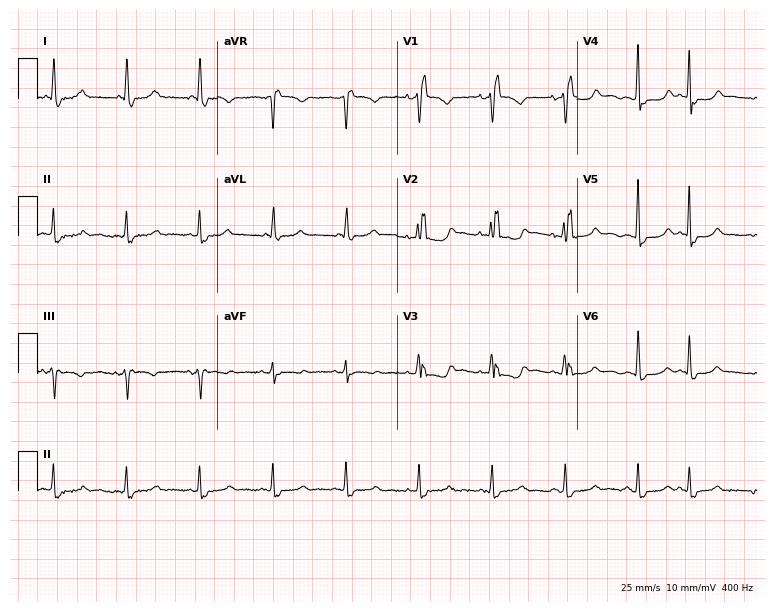
ECG — a female patient, 57 years old. Screened for six findings — first-degree AV block, right bundle branch block (RBBB), left bundle branch block (LBBB), sinus bradycardia, atrial fibrillation (AF), sinus tachycardia — none is recorded.